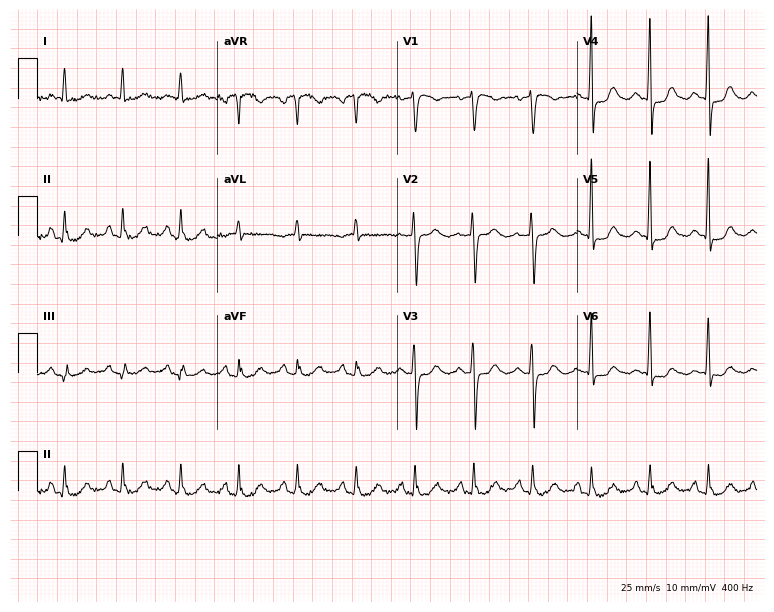
Electrocardiogram (7.3-second recording at 400 Hz), a 70-year-old female. Of the six screened findings (first-degree AV block, right bundle branch block, left bundle branch block, sinus bradycardia, atrial fibrillation, sinus tachycardia), none is recorded. Other findings, if any, are not listed.